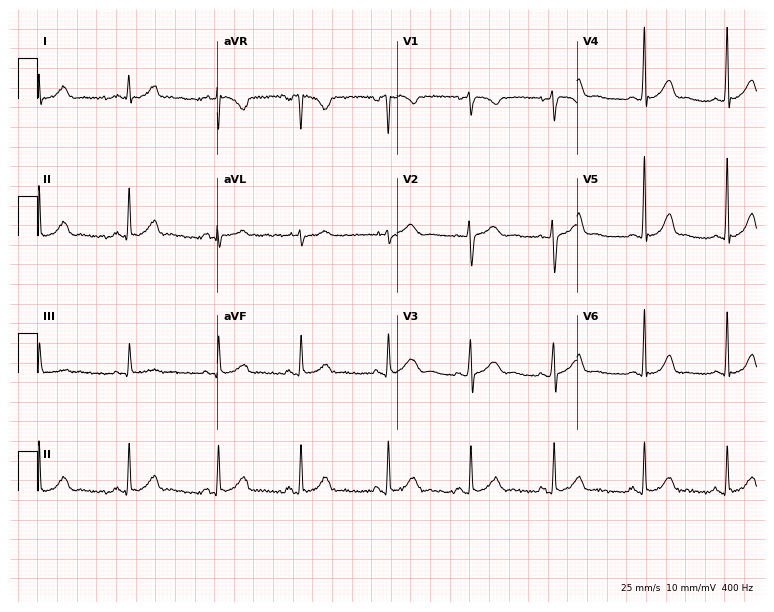
ECG — a 26-year-old woman. Screened for six findings — first-degree AV block, right bundle branch block, left bundle branch block, sinus bradycardia, atrial fibrillation, sinus tachycardia — none is recorded. Findings outside these six are not listed.